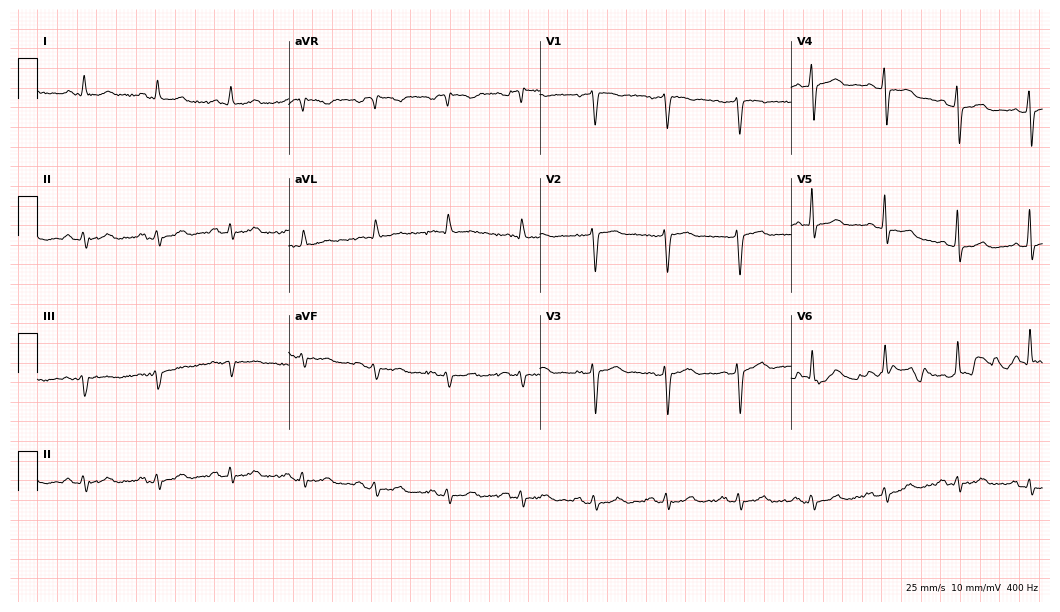
12-lead ECG (10.2-second recording at 400 Hz) from a 73-year-old male patient. Labelled as a normal ECG.